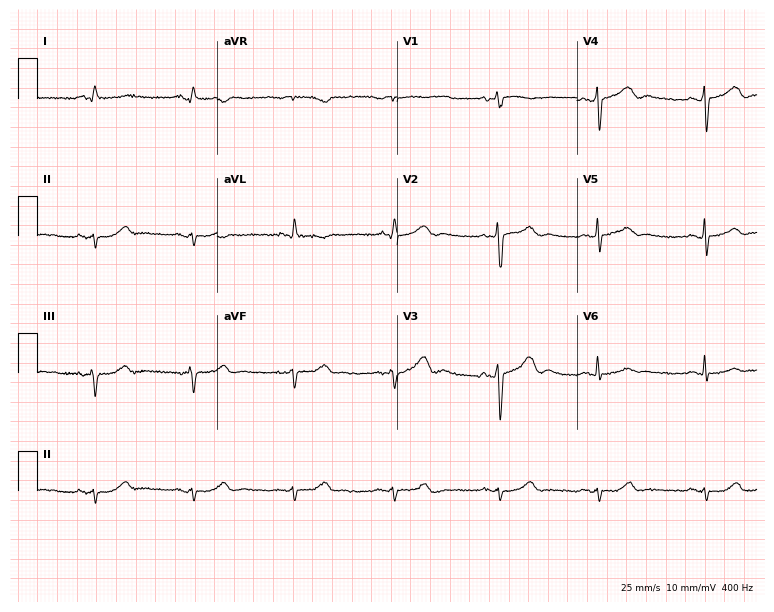
12-lead ECG from a male, 74 years old (7.3-second recording at 400 Hz). No first-degree AV block, right bundle branch block (RBBB), left bundle branch block (LBBB), sinus bradycardia, atrial fibrillation (AF) or sinus tachycardia recorded for this tracing.